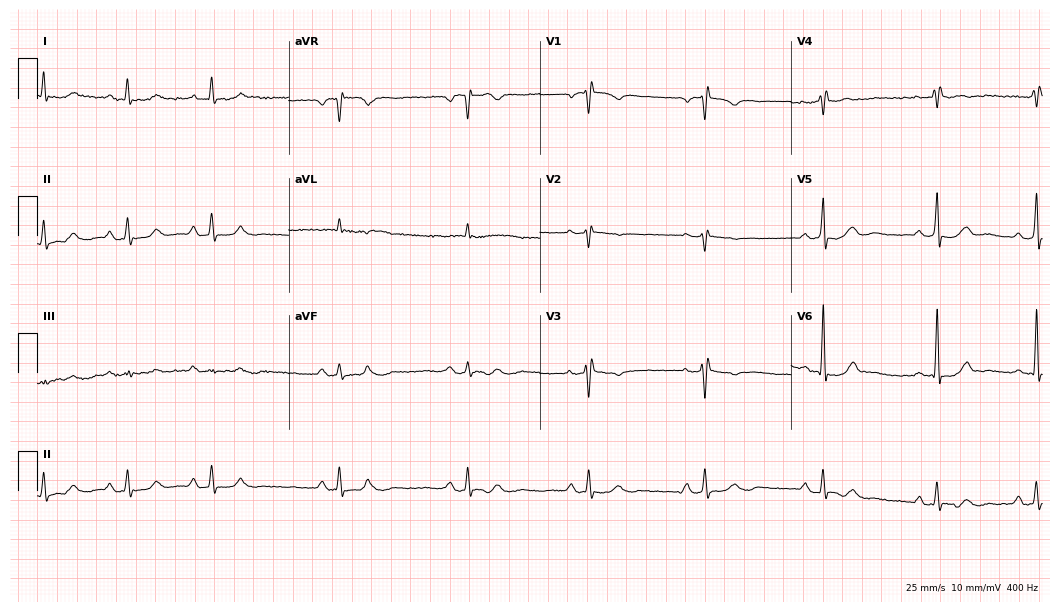
ECG — a female patient, 57 years old. Screened for six findings — first-degree AV block, right bundle branch block (RBBB), left bundle branch block (LBBB), sinus bradycardia, atrial fibrillation (AF), sinus tachycardia — none is recorded. Only these six findings were labelled.